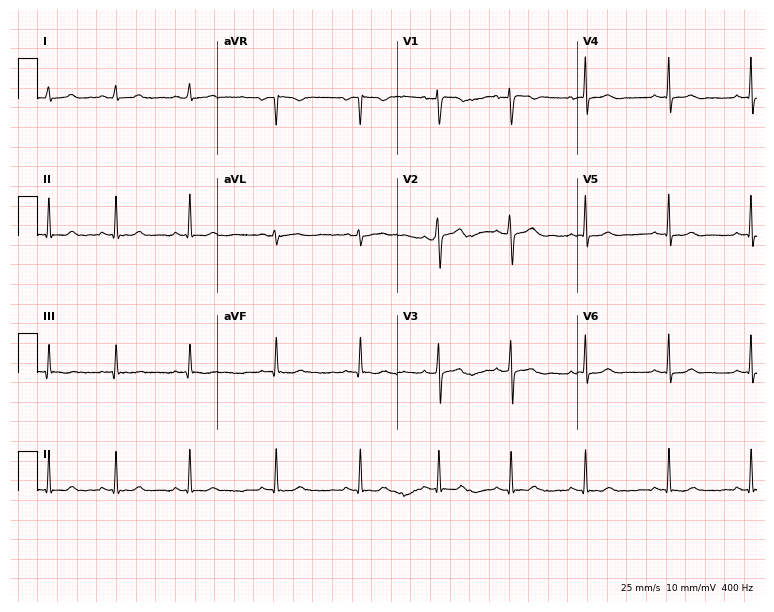
12-lead ECG from a woman, 17 years old (7.3-second recording at 400 Hz). Recorded interpretation: within normal limits.